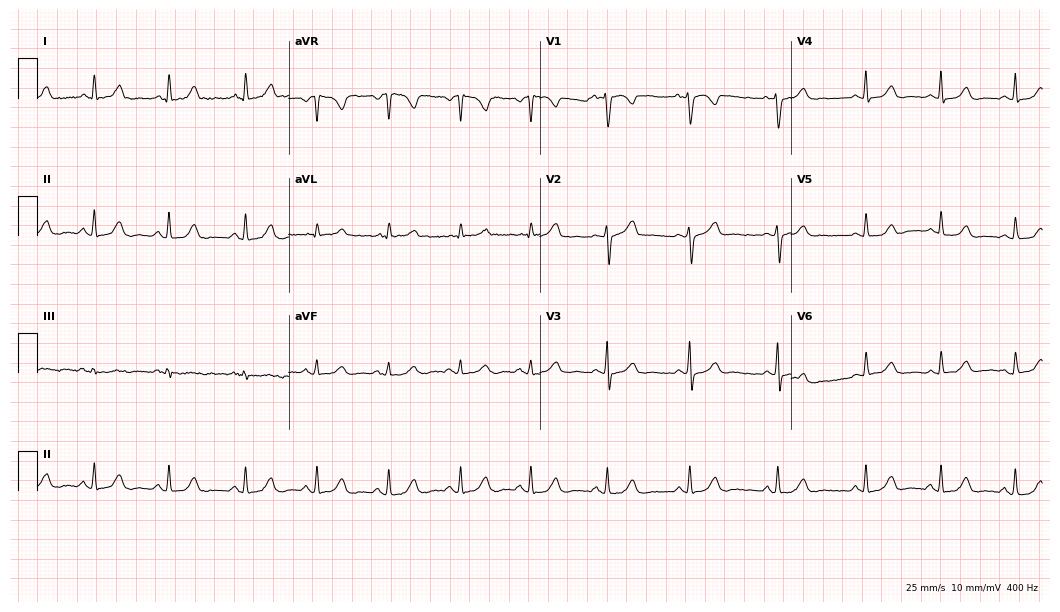
Resting 12-lead electrocardiogram (10.2-second recording at 400 Hz). Patient: a woman, 37 years old. None of these six findings is recorded: first-degree AV block, right bundle branch block, left bundle branch block, sinus bradycardia, atrial fibrillation, sinus tachycardia.